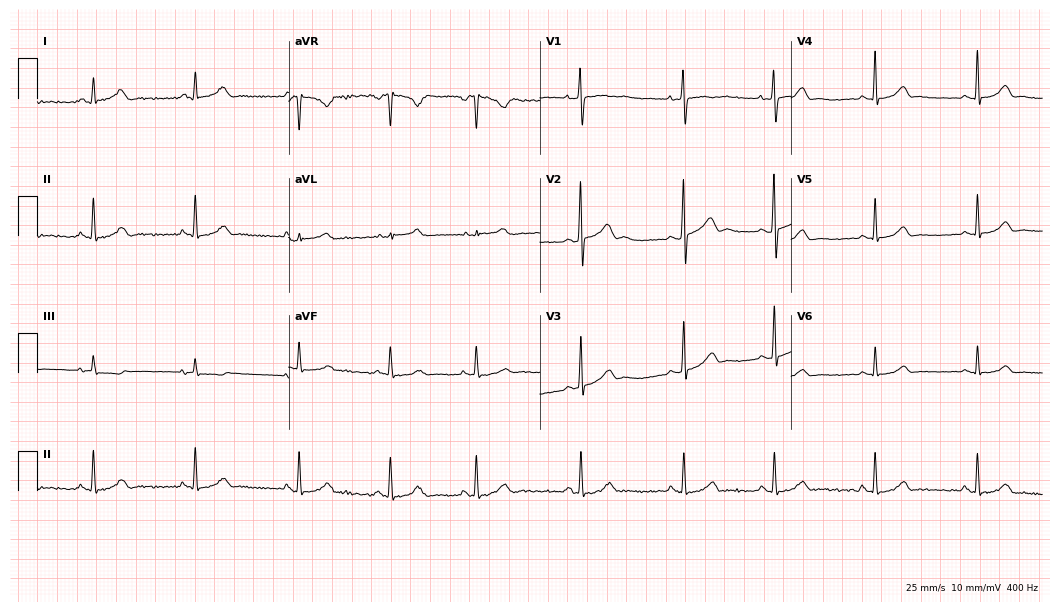
Electrocardiogram (10.2-second recording at 400 Hz), a woman, 25 years old. Overall reading on record: normal ECG.